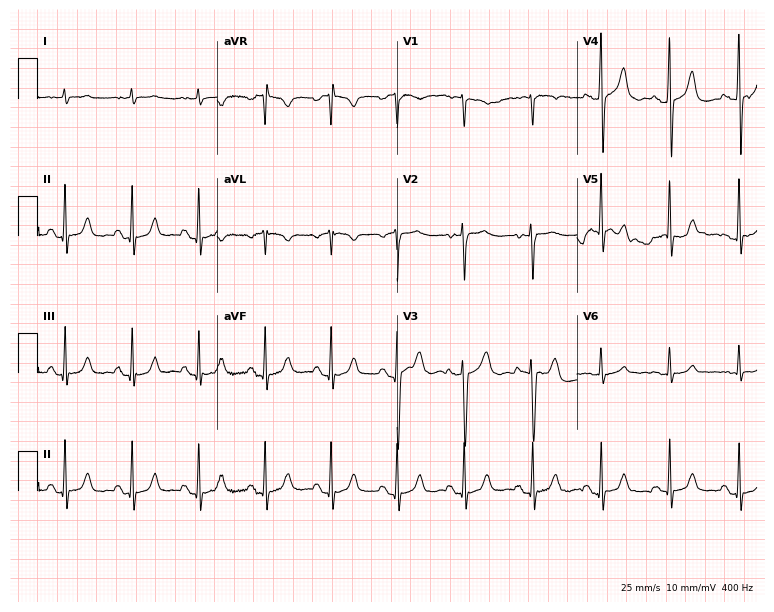
12-lead ECG from a 76-year-old man. Recorded interpretation: within normal limits.